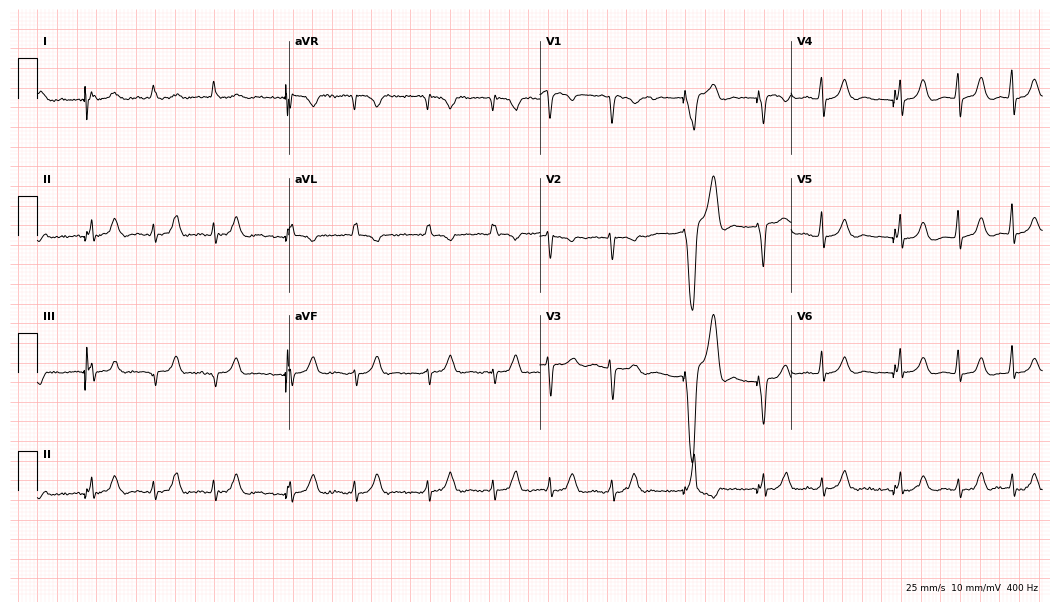
Resting 12-lead electrocardiogram. Patient: a 70-year-old female. The tracing shows atrial fibrillation.